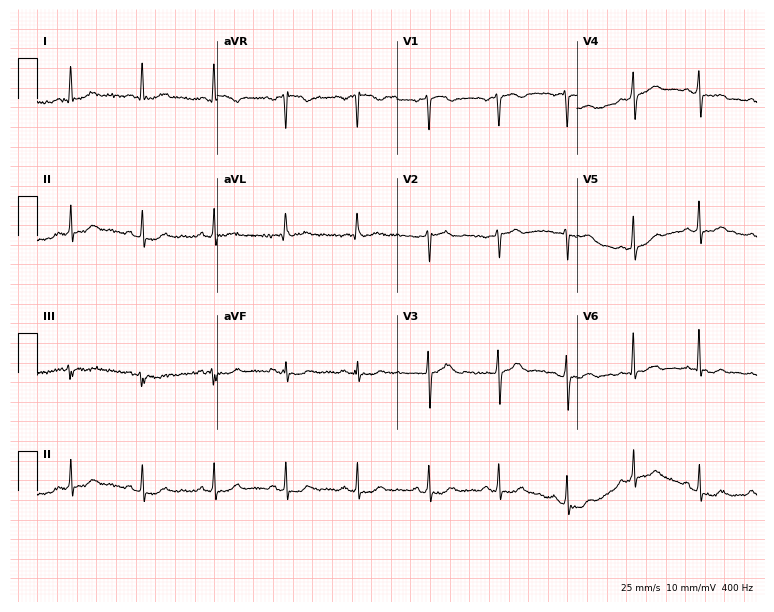
12-lead ECG from a woman, 58 years old (7.3-second recording at 400 Hz). No first-degree AV block, right bundle branch block (RBBB), left bundle branch block (LBBB), sinus bradycardia, atrial fibrillation (AF) or sinus tachycardia recorded for this tracing. Findings outside these six are not listed.